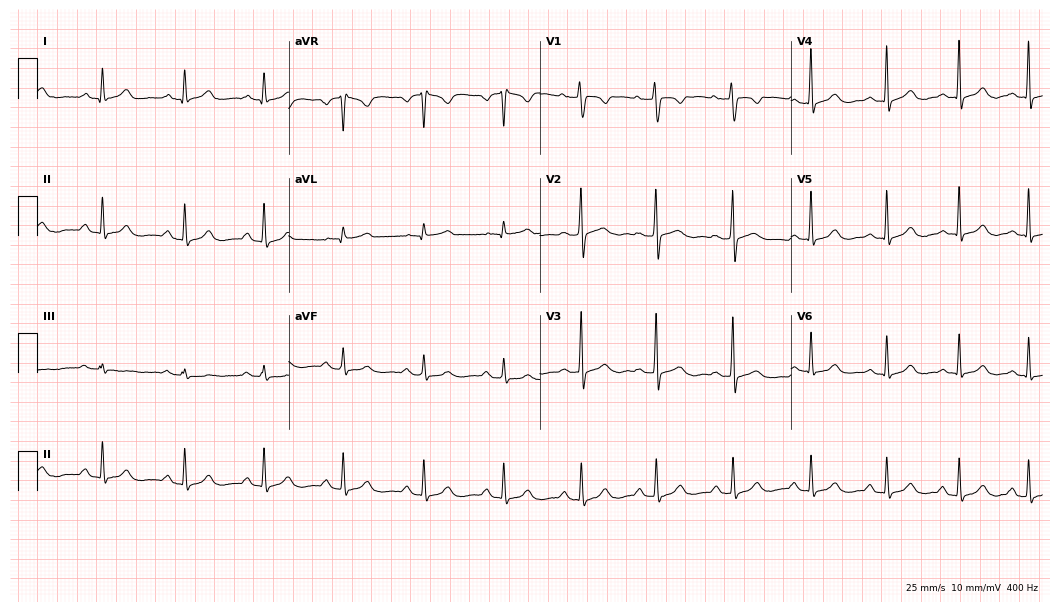
Standard 12-lead ECG recorded from a 26-year-old woman (10.2-second recording at 400 Hz). Read as a normal ECG.